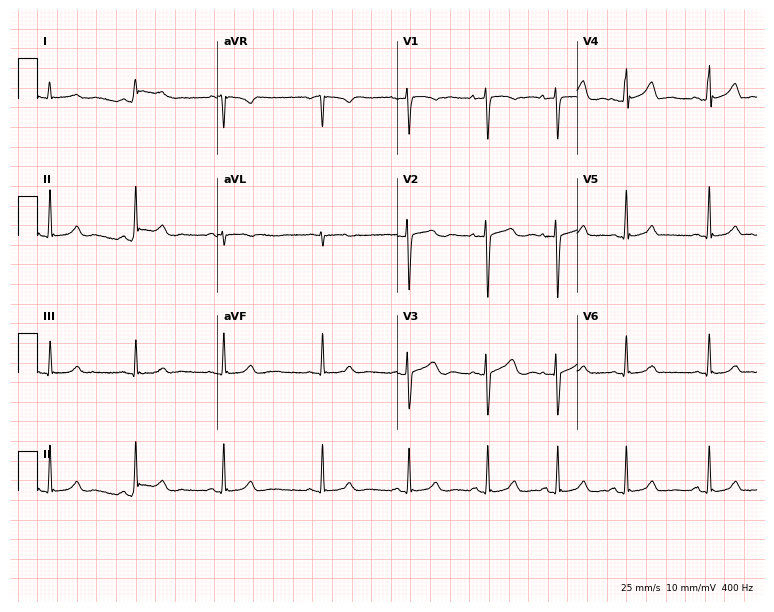
12-lead ECG from a female patient, 24 years old. Labelled as a normal ECG.